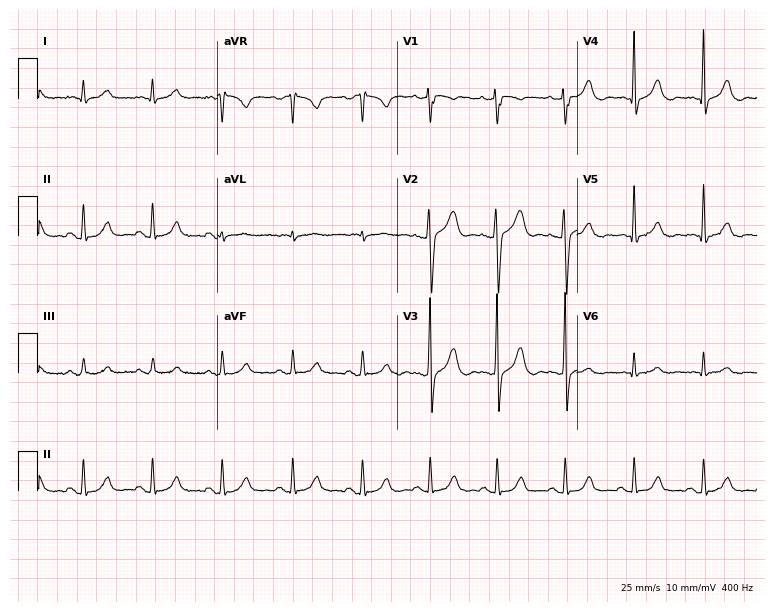
Electrocardiogram (7.3-second recording at 400 Hz), a 49-year-old man. Overall reading on record: normal ECG.